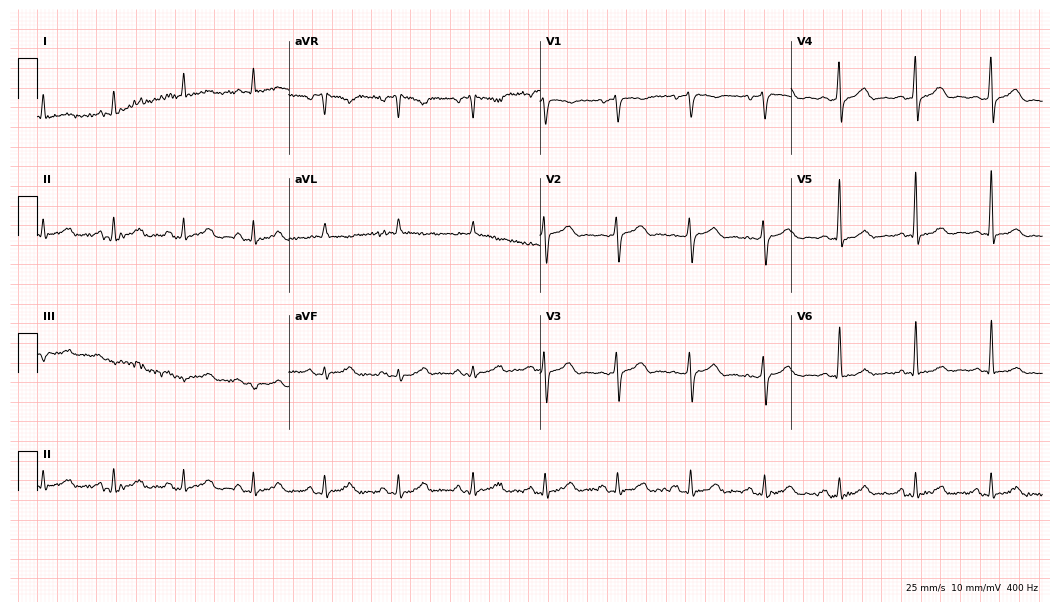
12-lead ECG (10.2-second recording at 400 Hz) from a man, 70 years old. Labelled as a normal ECG.